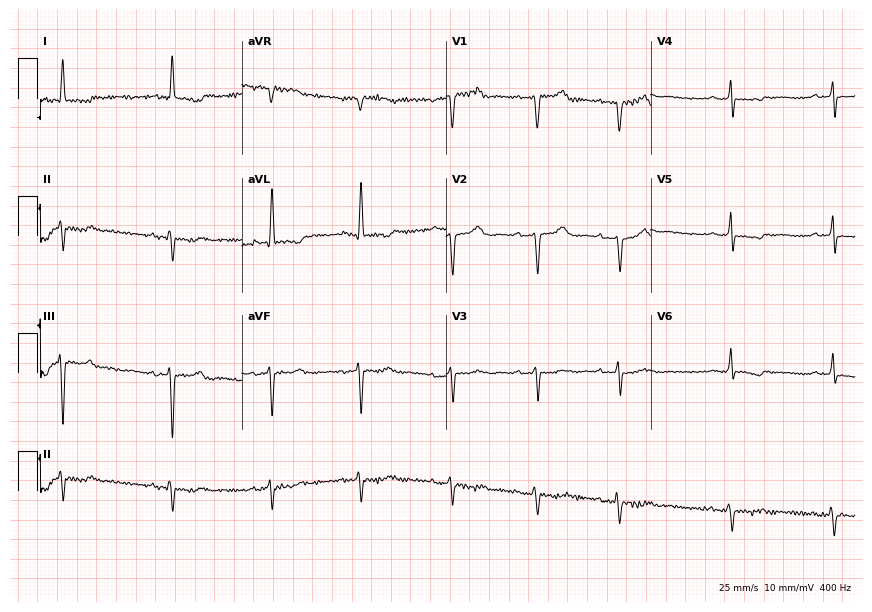
12-lead ECG from a woman, 65 years old (8.3-second recording at 400 Hz). No first-degree AV block, right bundle branch block (RBBB), left bundle branch block (LBBB), sinus bradycardia, atrial fibrillation (AF) or sinus tachycardia recorded for this tracing.